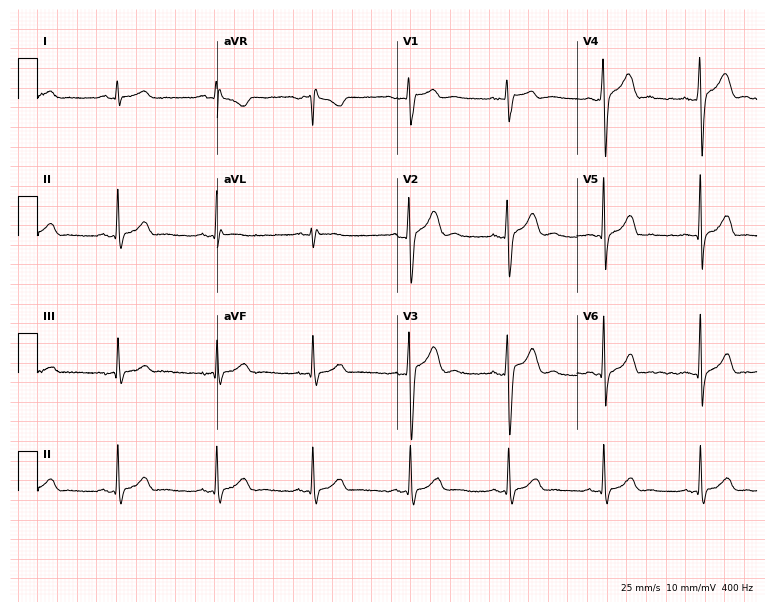
12-lead ECG (7.3-second recording at 400 Hz) from a 26-year-old male patient. Labelled as a normal ECG.